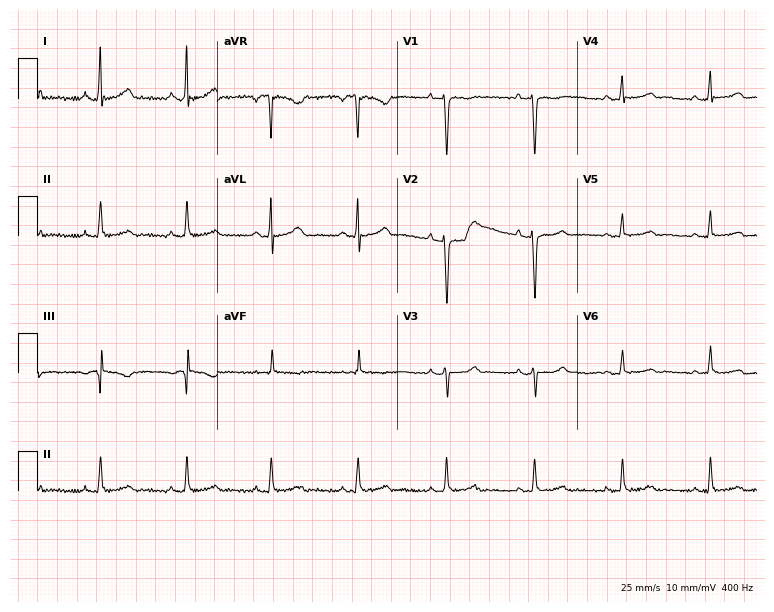
ECG (7.3-second recording at 400 Hz) — a 35-year-old female patient. Labelled as a normal ECG.